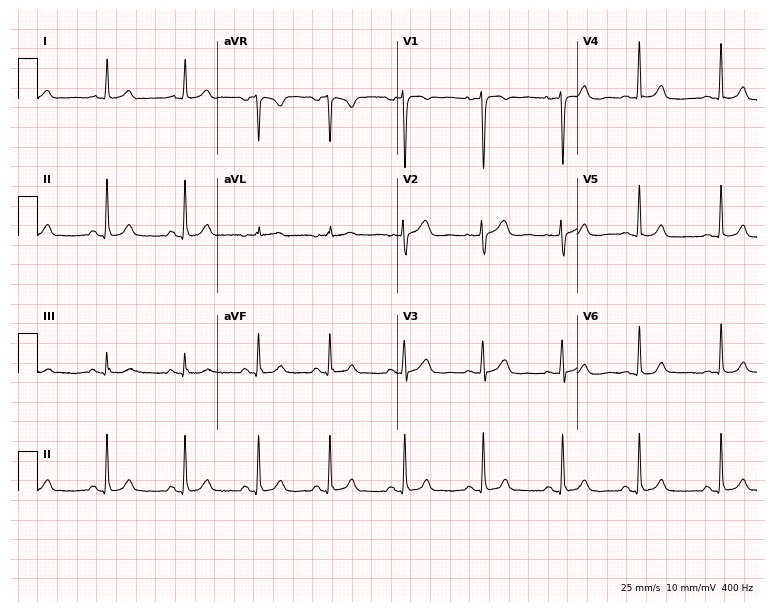
Standard 12-lead ECG recorded from a female, 31 years old (7.3-second recording at 400 Hz). Read as a normal ECG.